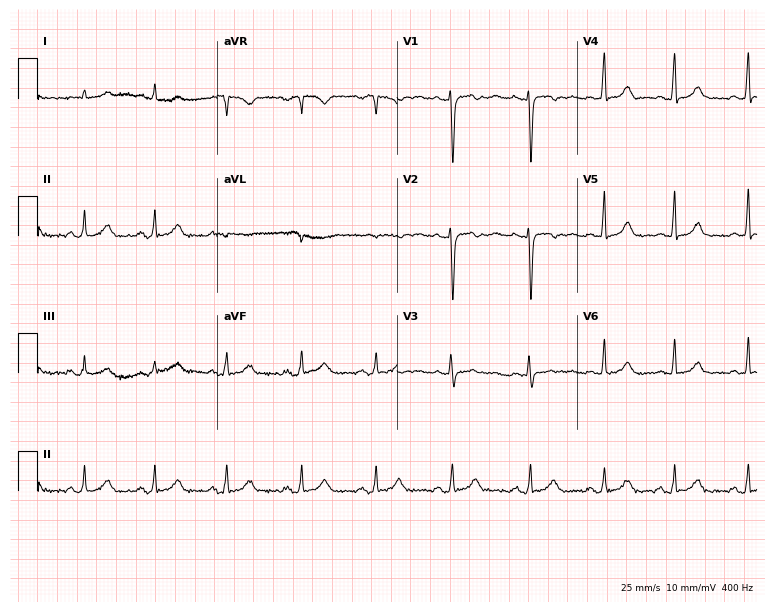
12-lead ECG (7.3-second recording at 400 Hz) from a 27-year-old female. Screened for six findings — first-degree AV block, right bundle branch block, left bundle branch block, sinus bradycardia, atrial fibrillation, sinus tachycardia — none is recorded.